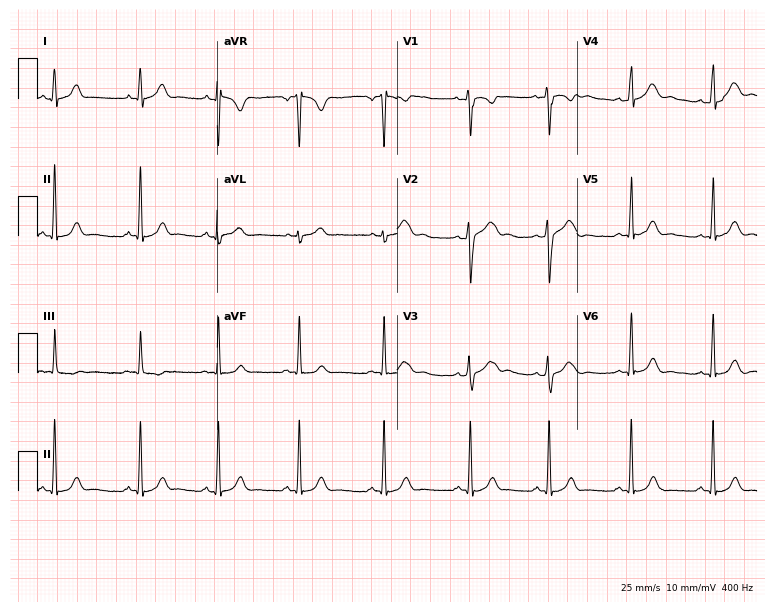
ECG (7.3-second recording at 400 Hz) — a female patient, 24 years old. Screened for six findings — first-degree AV block, right bundle branch block, left bundle branch block, sinus bradycardia, atrial fibrillation, sinus tachycardia — none is recorded. Findings outside these six are not listed.